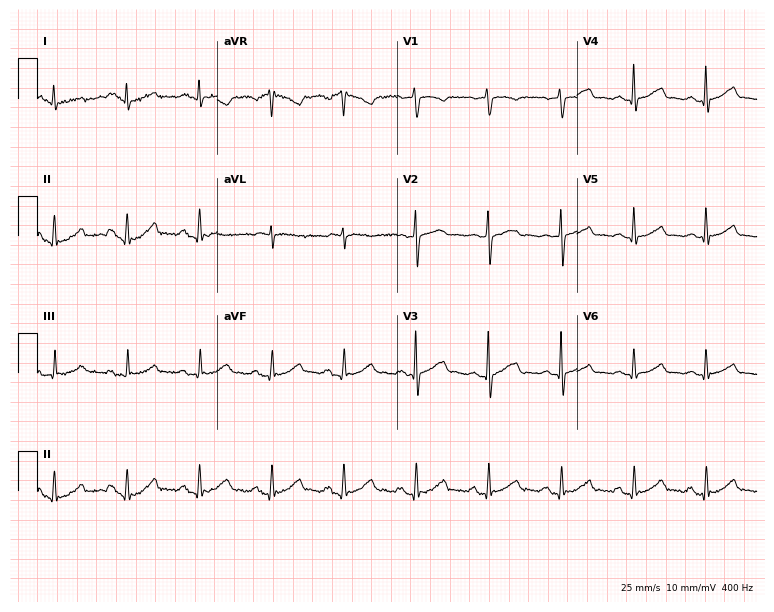
12-lead ECG from a man, 65 years old. Screened for six findings — first-degree AV block, right bundle branch block, left bundle branch block, sinus bradycardia, atrial fibrillation, sinus tachycardia — none is recorded.